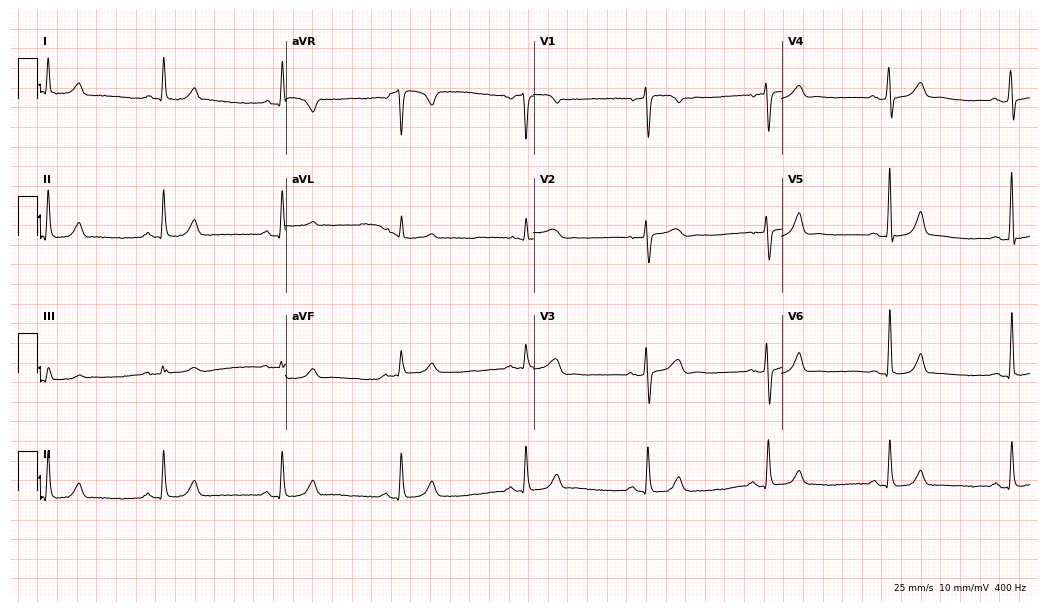
Resting 12-lead electrocardiogram (10.1-second recording at 400 Hz). Patient: a female, 67 years old. Read as a normal ECG.